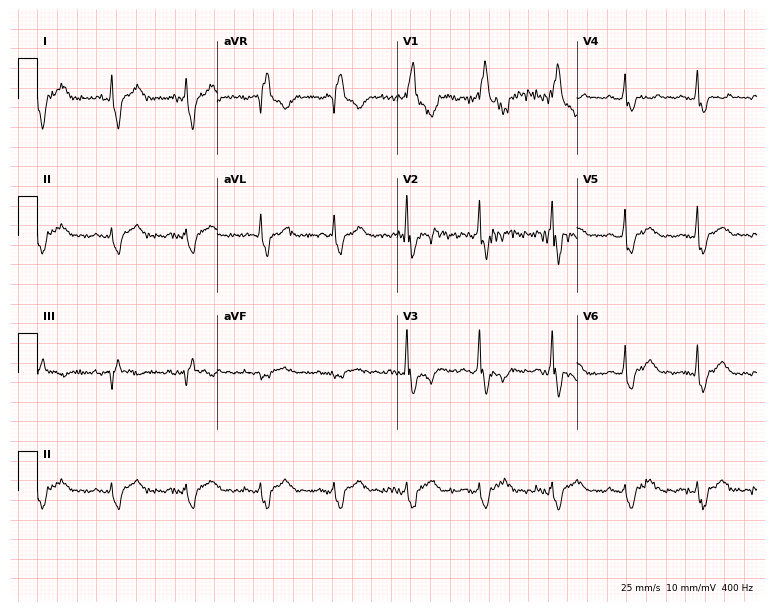
Electrocardiogram (7.3-second recording at 400 Hz), a 35-year-old male. Of the six screened findings (first-degree AV block, right bundle branch block, left bundle branch block, sinus bradycardia, atrial fibrillation, sinus tachycardia), none is recorded. Only these six findings were labelled.